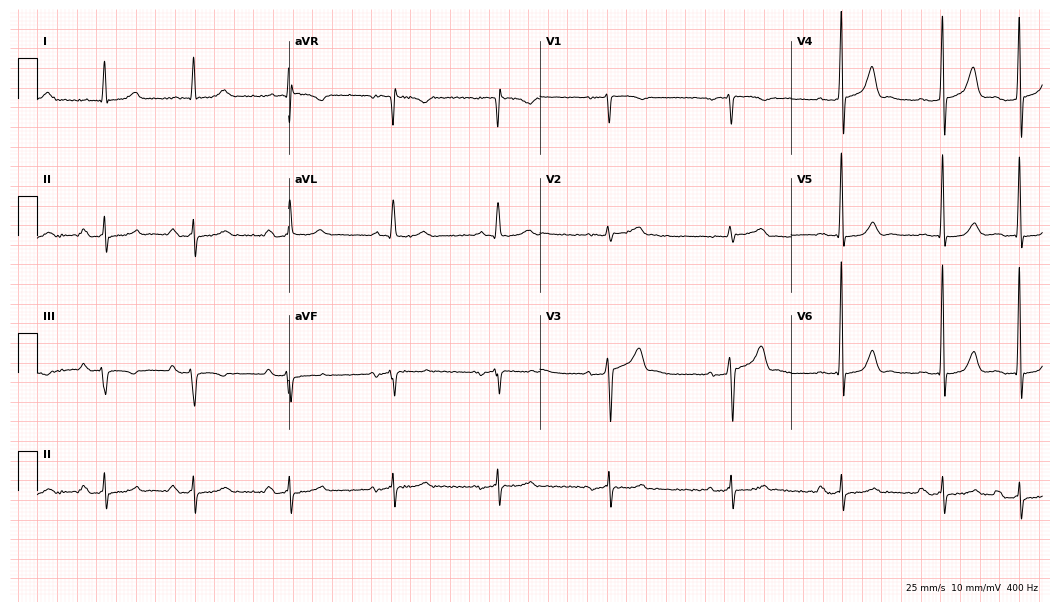
12-lead ECG from an 83-year-old man. Shows first-degree AV block.